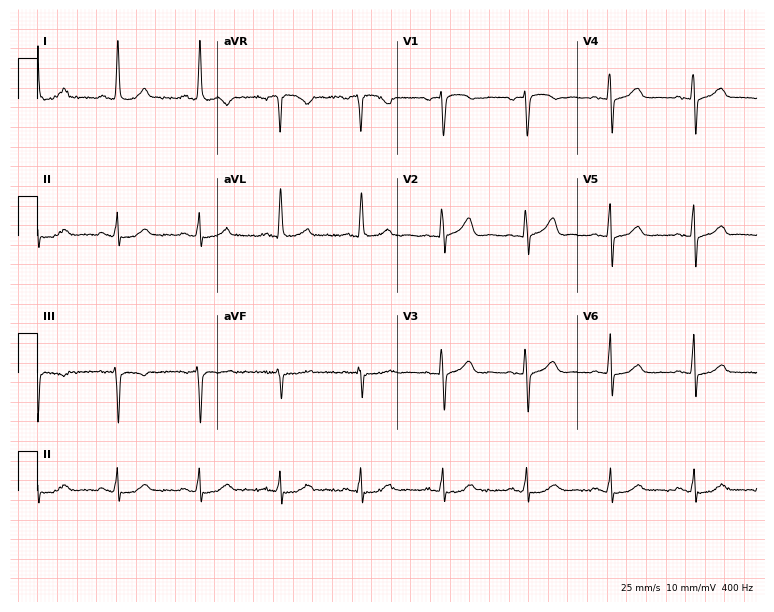
12-lead ECG from a 72-year-old female patient. Recorded interpretation: within normal limits.